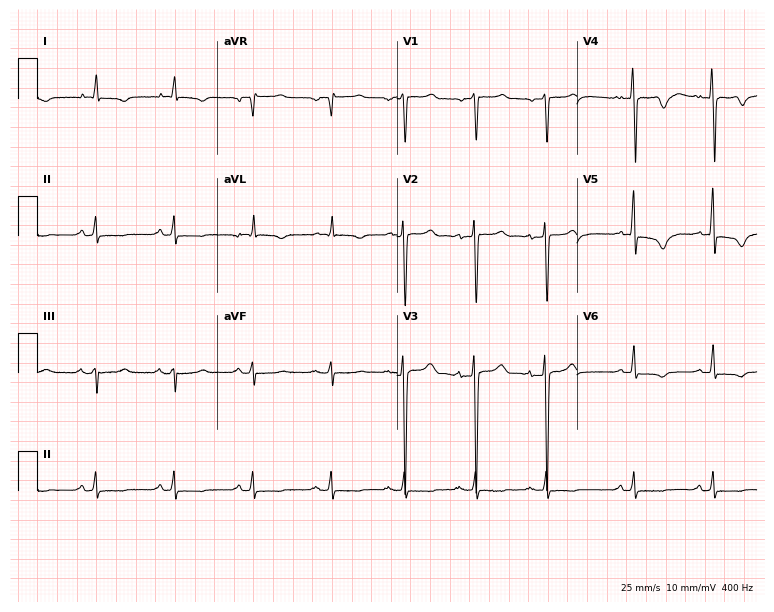
ECG (7.3-second recording at 400 Hz) — an 80-year-old female. Labelled as a normal ECG.